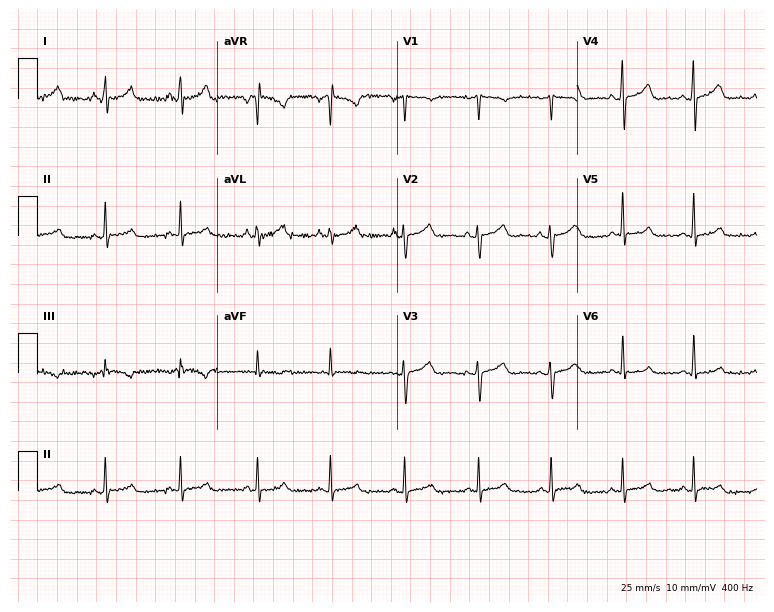
ECG (7.3-second recording at 400 Hz) — a female patient, 29 years old. Screened for six findings — first-degree AV block, right bundle branch block, left bundle branch block, sinus bradycardia, atrial fibrillation, sinus tachycardia — none is recorded.